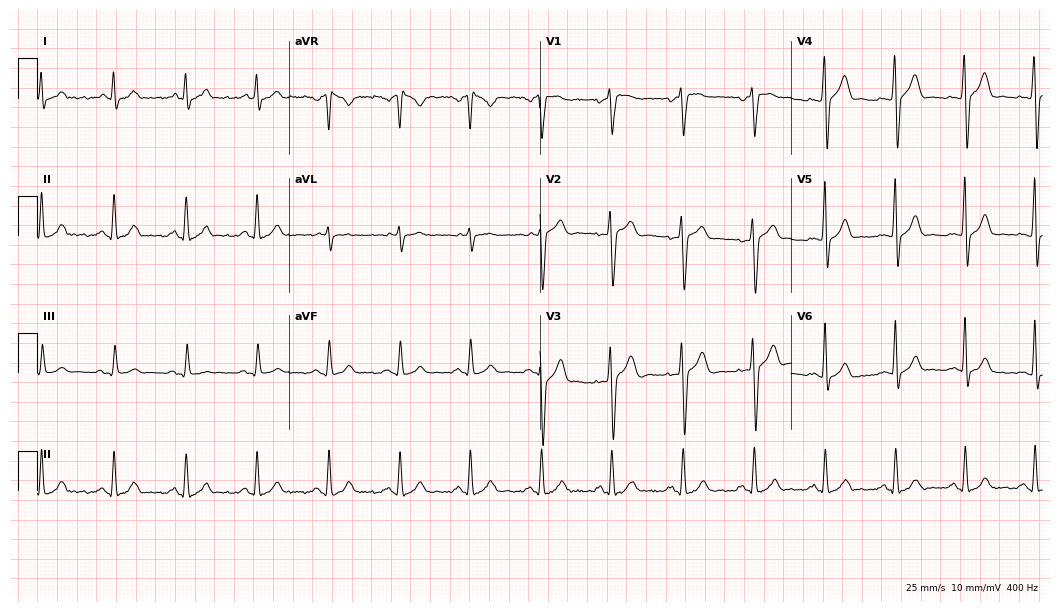
12-lead ECG from a male patient, 27 years old (10.2-second recording at 400 Hz). Recorded interpretation: within normal limits.